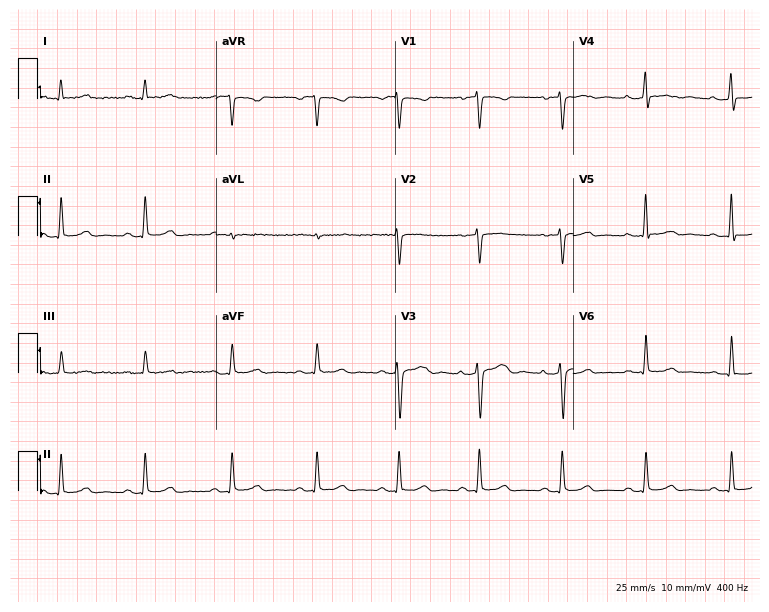
Standard 12-lead ECG recorded from a female, 46 years old (7.3-second recording at 400 Hz). Read as a normal ECG.